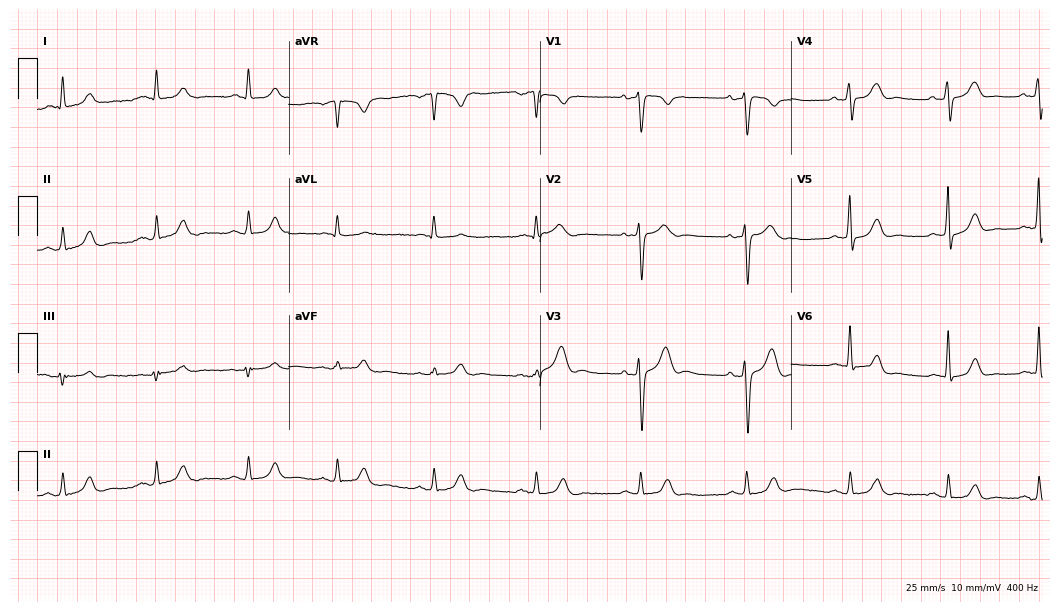
Standard 12-lead ECG recorded from a 56-year-old man (10.2-second recording at 400 Hz). Read as a normal ECG.